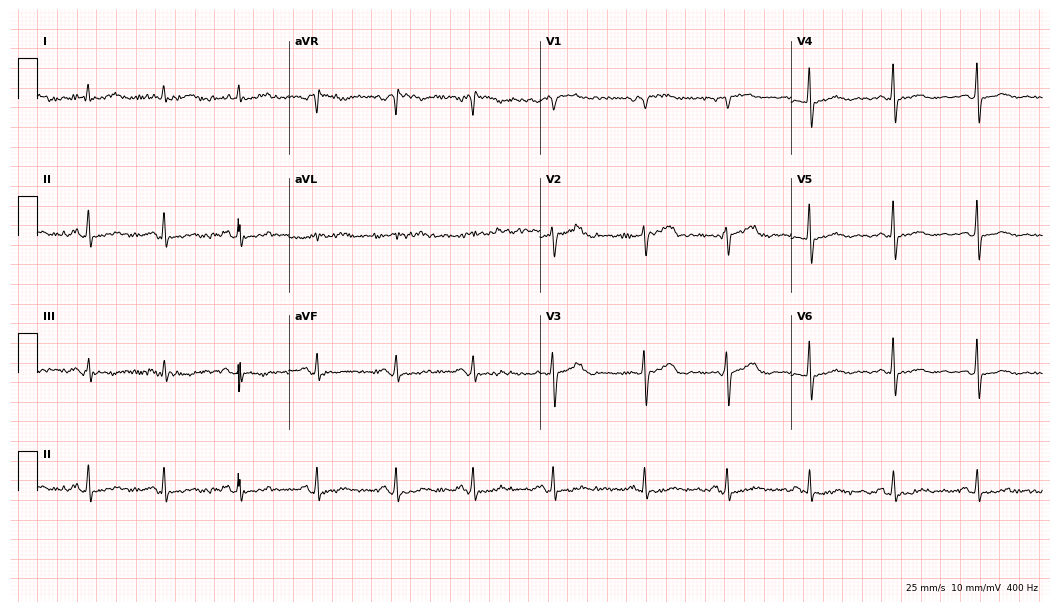
12-lead ECG from a female, 64 years old (10.2-second recording at 400 Hz). No first-degree AV block, right bundle branch block, left bundle branch block, sinus bradycardia, atrial fibrillation or sinus tachycardia recorded for this tracing.